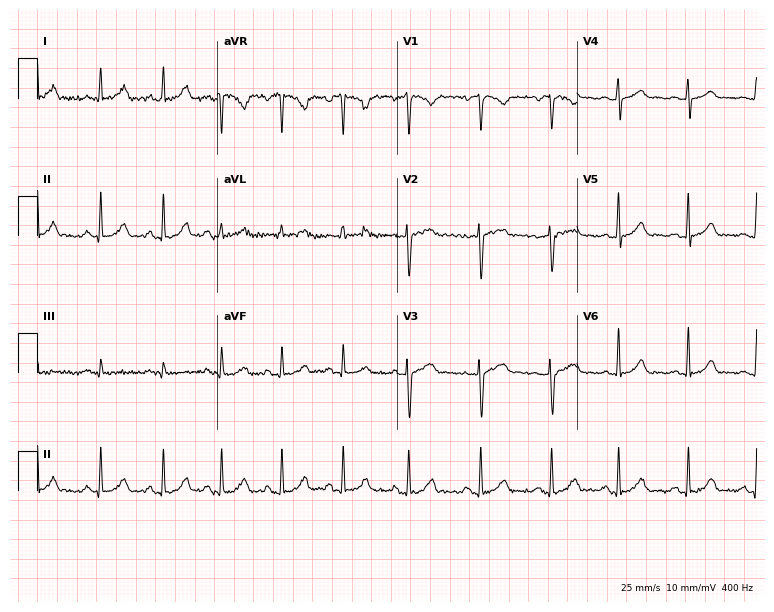
12-lead ECG from a 51-year-old woman. Screened for six findings — first-degree AV block, right bundle branch block (RBBB), left bundle branch block (LBBB), sinus bradycardia, atrial fibrillation (AF), sinus tachycardia — none is recorded.